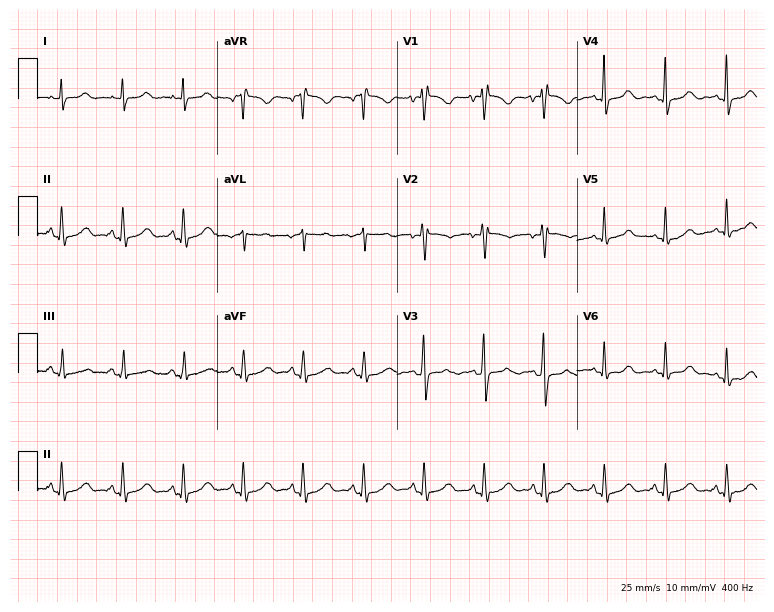
Resting 12-lead electrocardiogram (7.3-second recording at 400 Hz). Patient: a 38-year-old female. None of these six findings is recorded: first-degree AV block, right bundle branch block, left bundle branch block, sinus bradycardia, atrial fibrillation, sinus tachycardia. Findings outside these six are not listed.